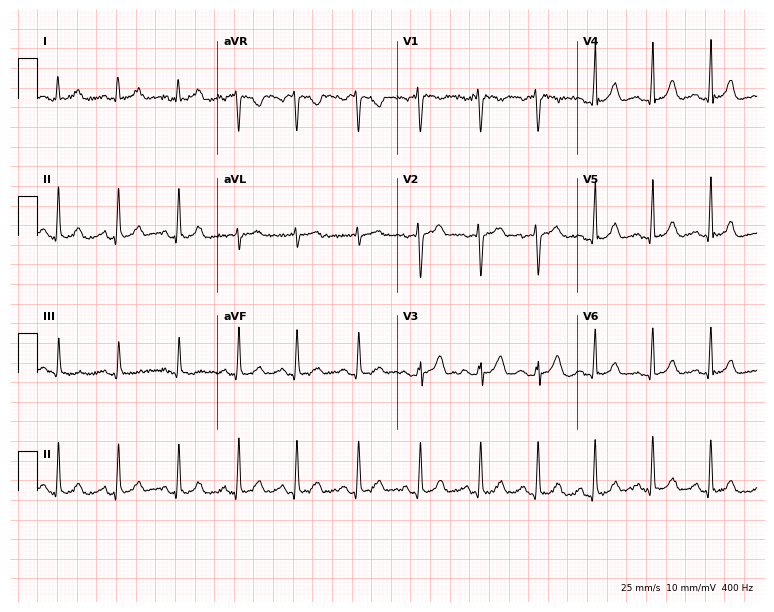
Standard 12-lead ECG recorded from a female patient, 42 years old. None of these six findings is recorded: first-degree AV block, right bundle branch block, left bundle branch block, sinus bradycardia, atrial fibrillation, sinus tachycardia.